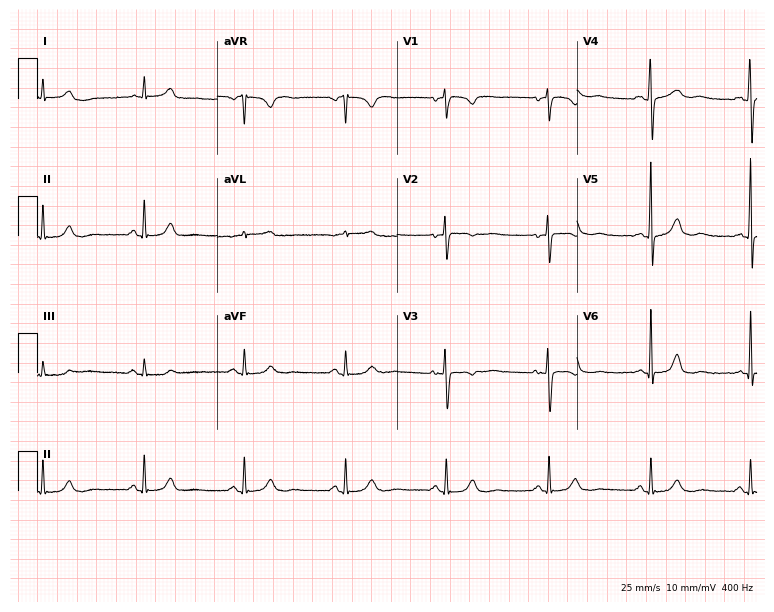
12-lead ECG from a 43-year-old woman (7.3-second recording at 400 Hz). Recorded interpretation: within normal limits.